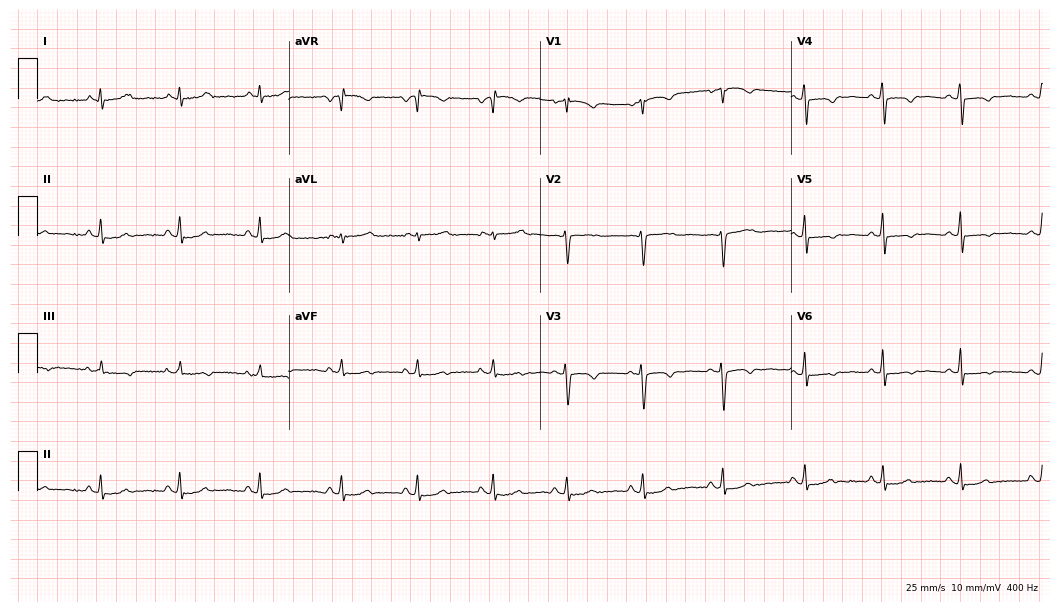
Standard 12-lead ECG recorded from a 45-year-old female patient. None of these six findings is recorded: first-degree AV block, right bundle branch block (RBBB), left bundle branch block (LBBB), sinus bradycardia, atrial fibrillation (AF), sinus tachycardia.